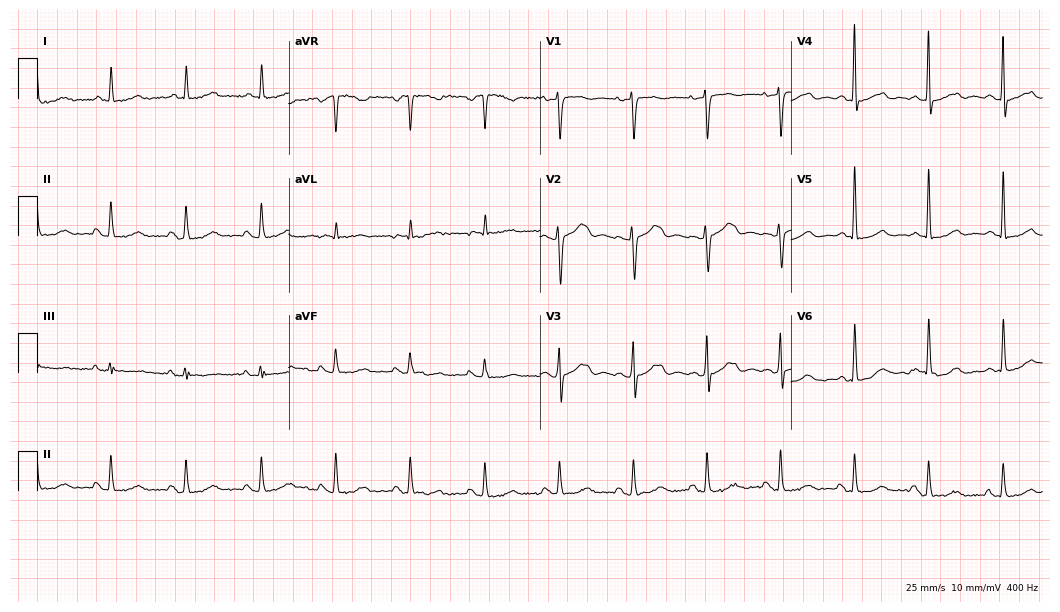
ECG — a female, 76 years old. Labelled as a normal ECG.